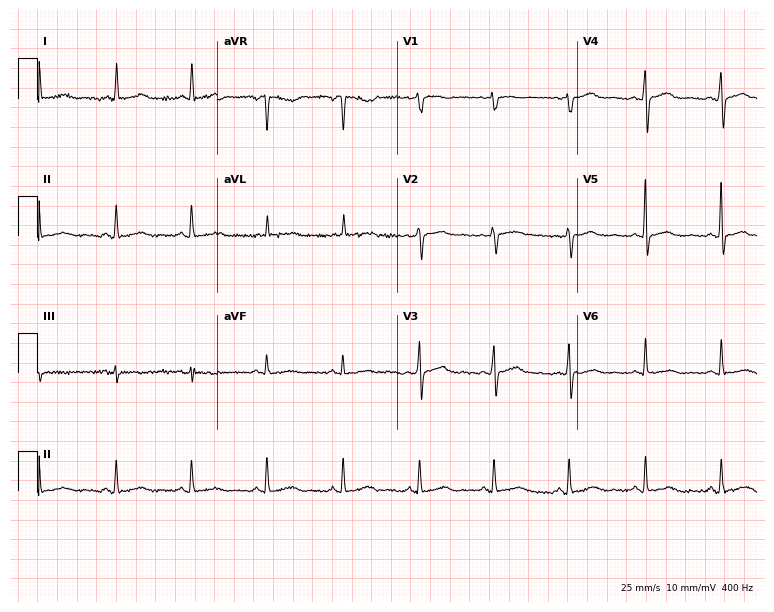
Standard 12-lead ECG recorded from a woman, 66 years old. Read as a normal ECG.